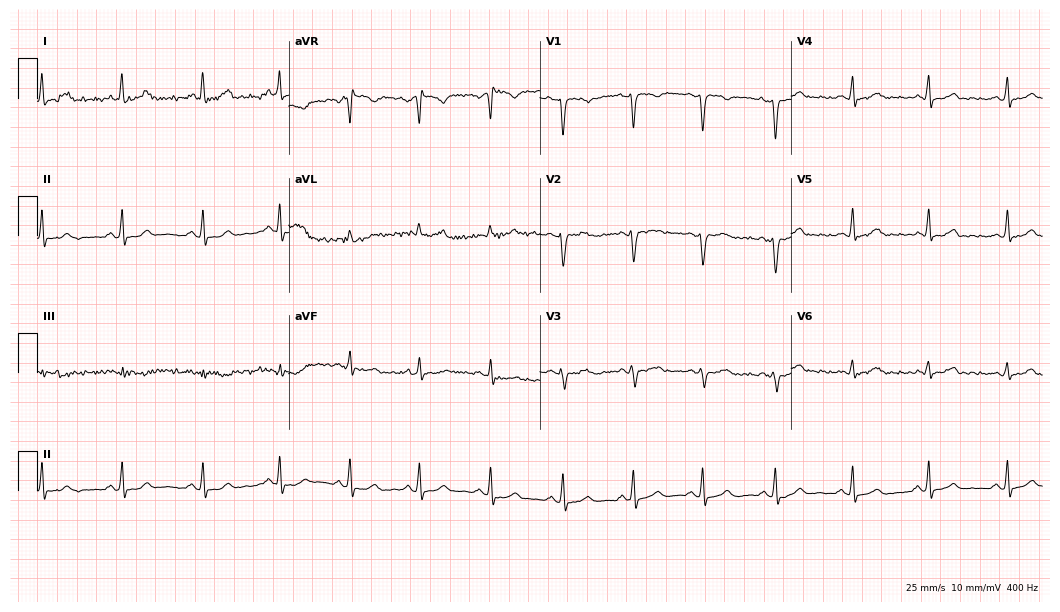
ECG (10.2-second recording at 400 Hz) — a 28-year-old woman. Screened for six findings — first-degree AV block, right bundle branch block (RBBB), left bundle branch block (LBBB), sinus bradycardia, atrial fibrillation (AF), sinus tachycardia — none is recorded. Other findings, if any, are not listed.